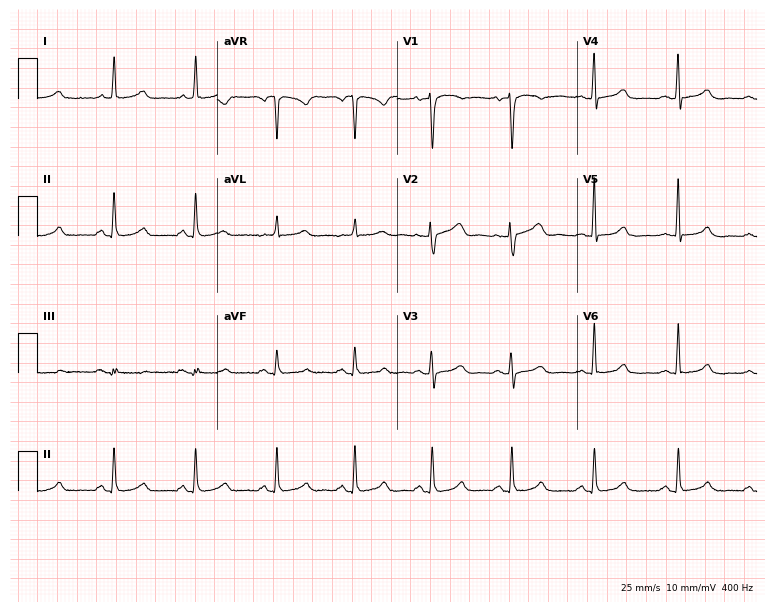
Resting 12-lead electrocardiogram (7.3-second recording at 400 Hz). Patient: a female, 47 years old. Read as a normal ECG.